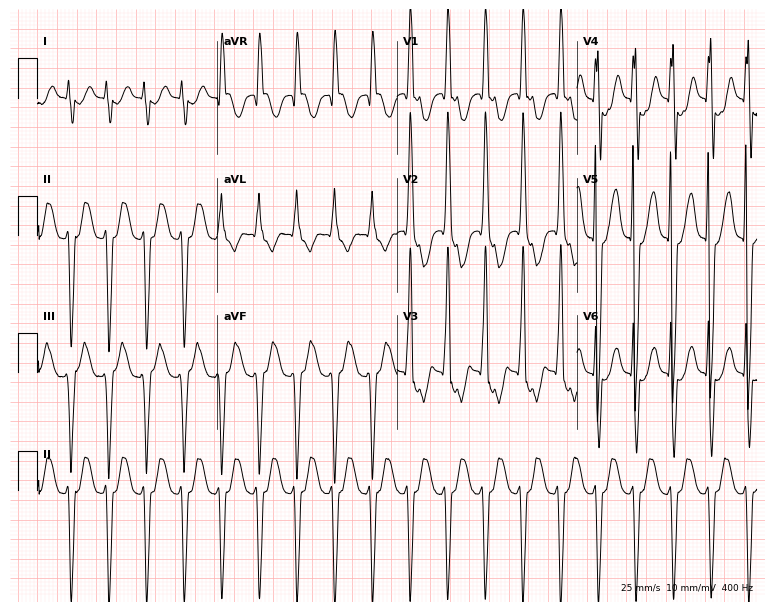
Electrocardiogram, an 18-year-old female. Interpretation includes sinus tachycardia (a sinus rate of 100 beats per minute or more).